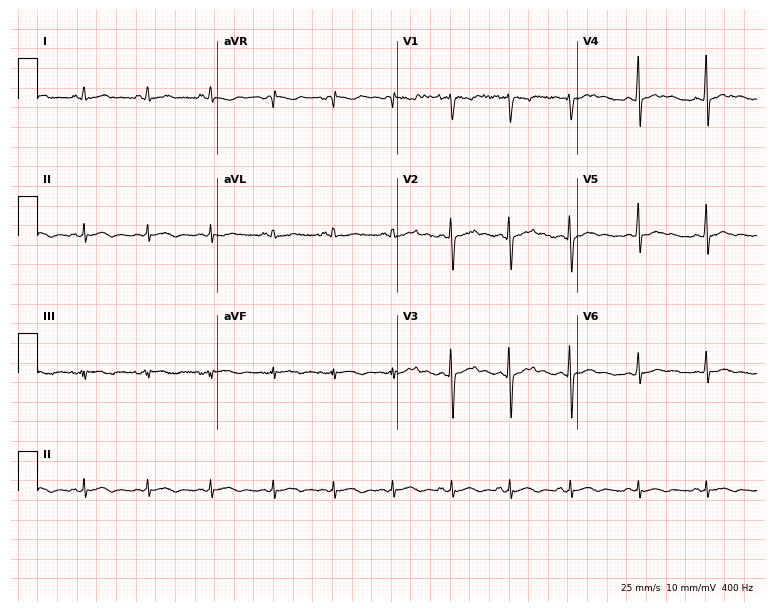
Standard 12-lead ECG recorded from a woman, 20 years old (7.3-second recording at 400 Hz). None of these six findings is recorded: first-degree AV block, right bundle branch block, left bundle branch block, sinus bradycardia, atrial fibrillation, sinus tachycardia.